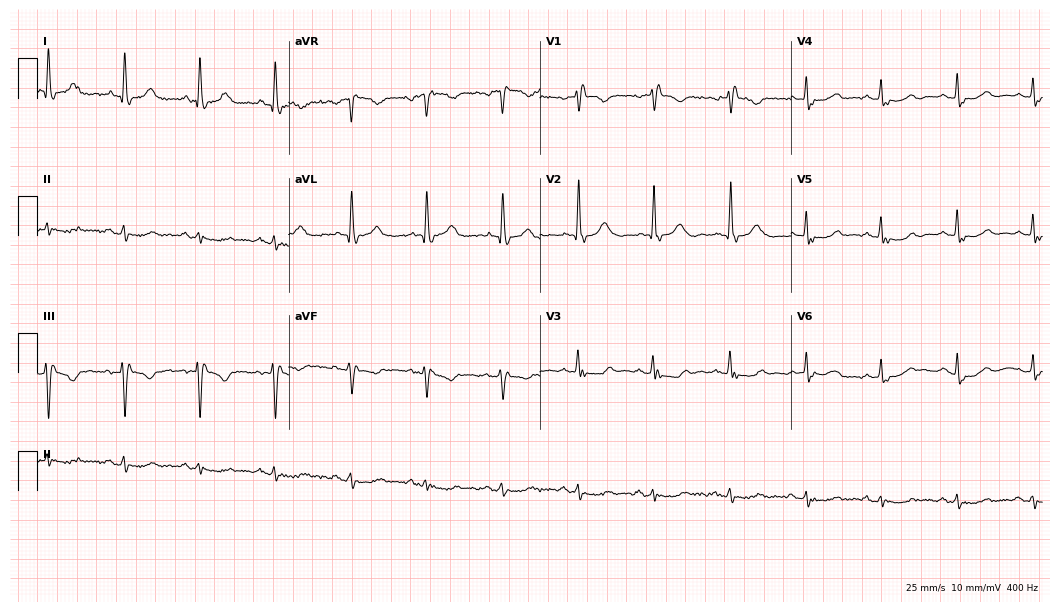
12-lead ECG from a female, 78 years old (10.2-second recording at 400 Hz). Shows right bundle branch block.